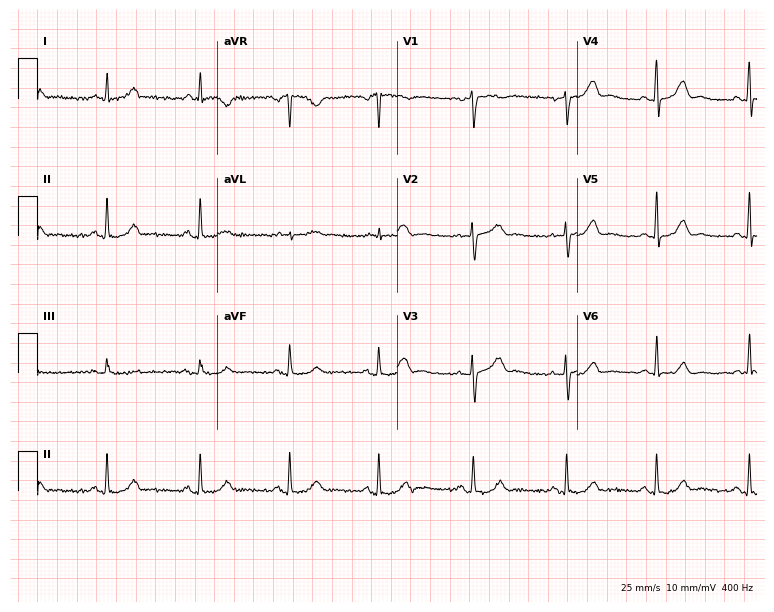
ECG — a female patient, 46 years old. Labelled as a normal ECG.